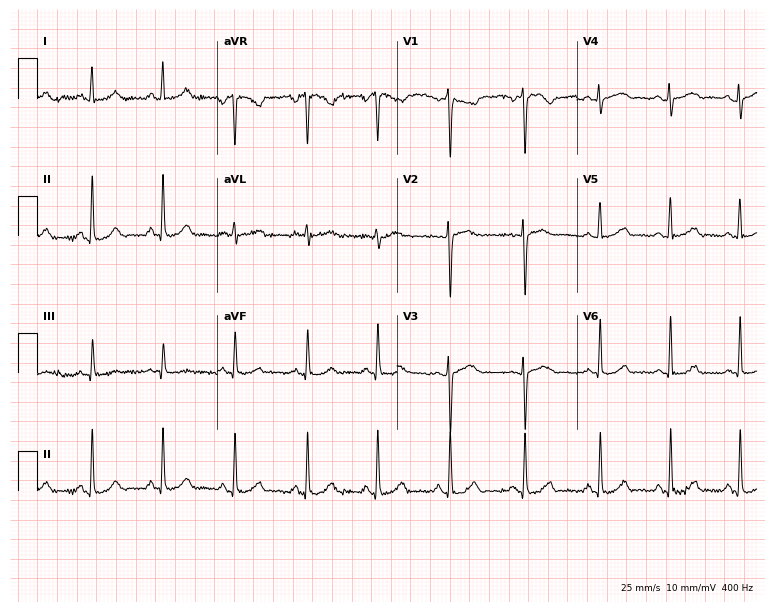
Resting 12-lead electrocardiogram (7.3-second recording at 400 Hz). Patient: a female, 31 years old. Read as a normal ECG.